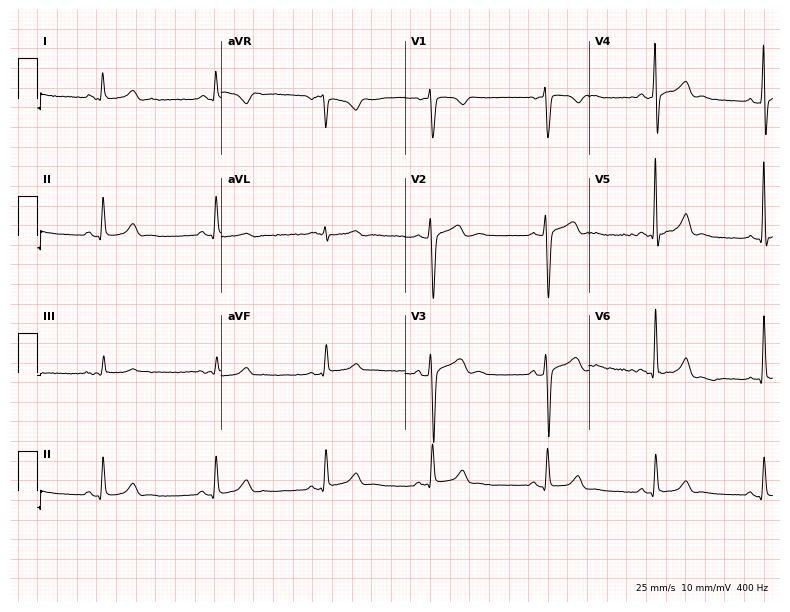
12-lead ECG from a male patient, 35 years old. Recorded interpretation: within normal limits.